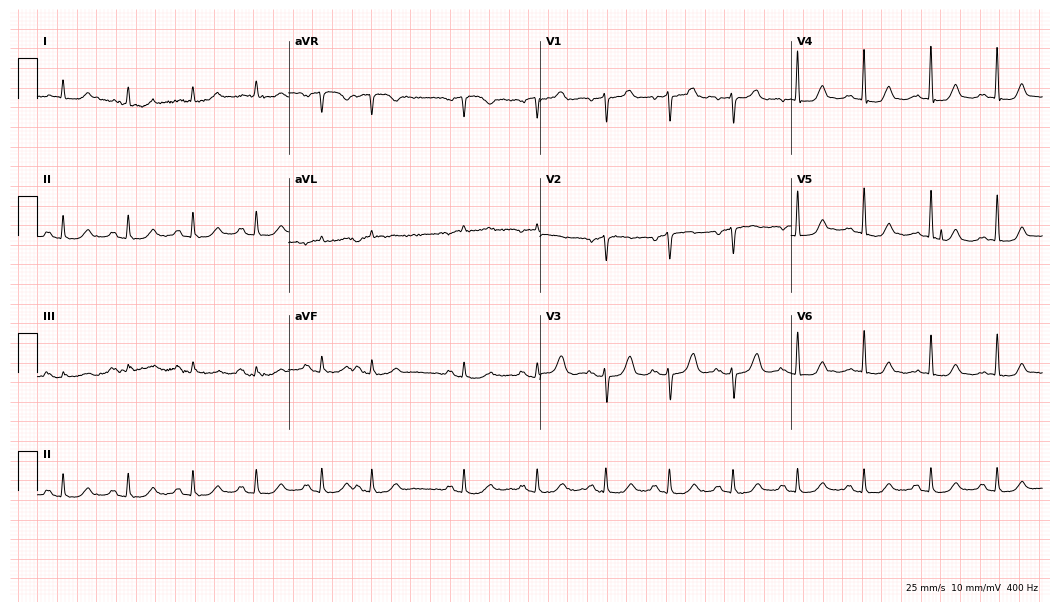
12-lead ECG from a female, 77 years old. Screened for six findings — first-degree AV block, right bundle branch block, left bundle branch block, sinus bradycardia, atrial fibrillation, sinus tachycardia — none is recorded. Other findings, if any, are not listed.